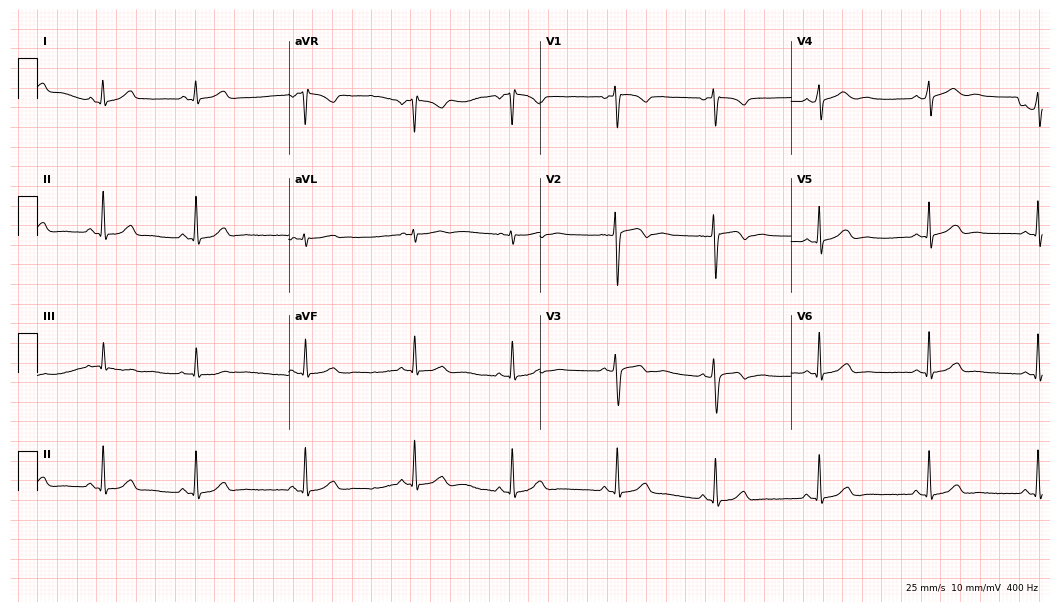
Standard 12-lead ECG recorded from a woman, 25 years old. Read as a normal ECG.